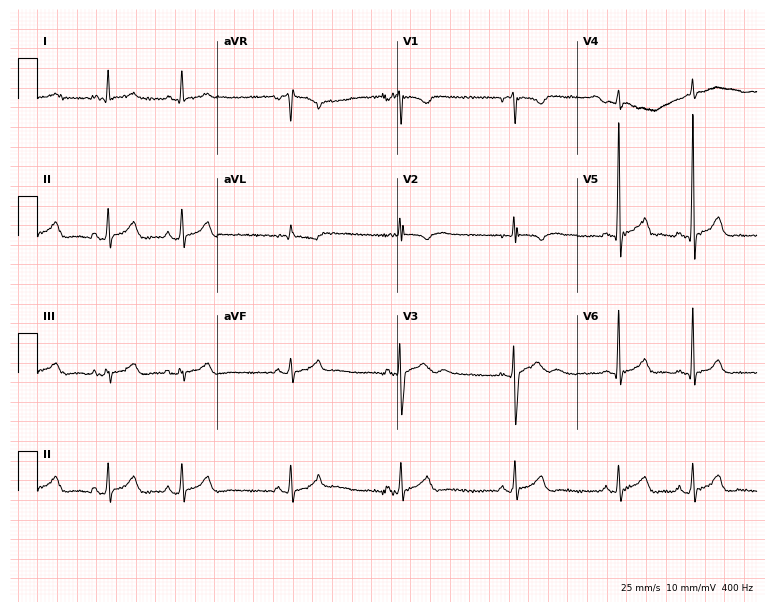
Resting 12-lead electrocardiogram (7.3-second recording at 400 Hz). Patient: a 17-year-old female. Read as a normal ECG.